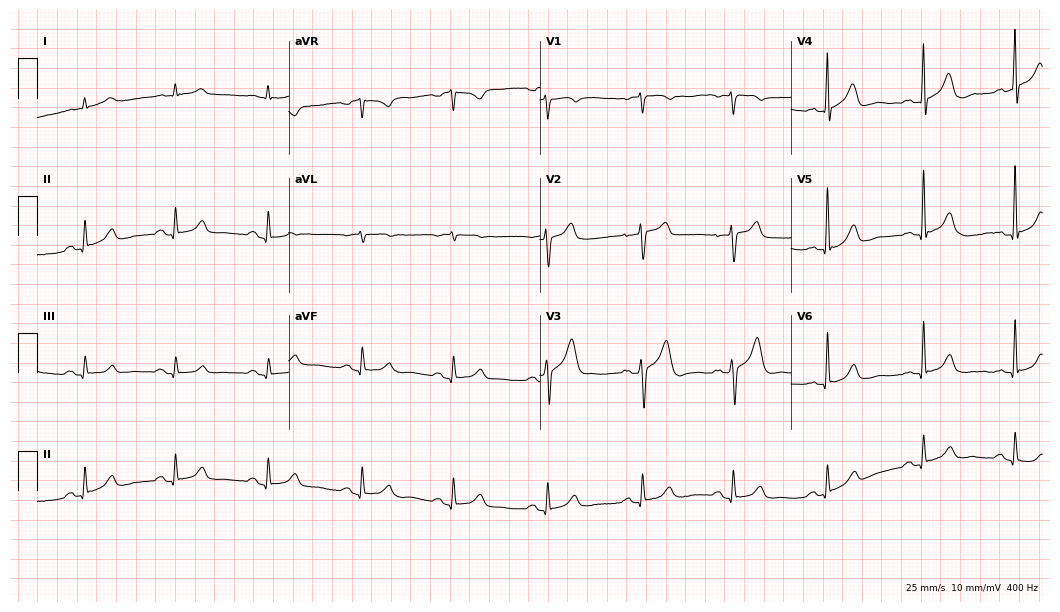
Standard 12-lead ECG recorded from a 69-year-old male patient (10.2-second recording at 400 Hz). Read as a normal ECG.